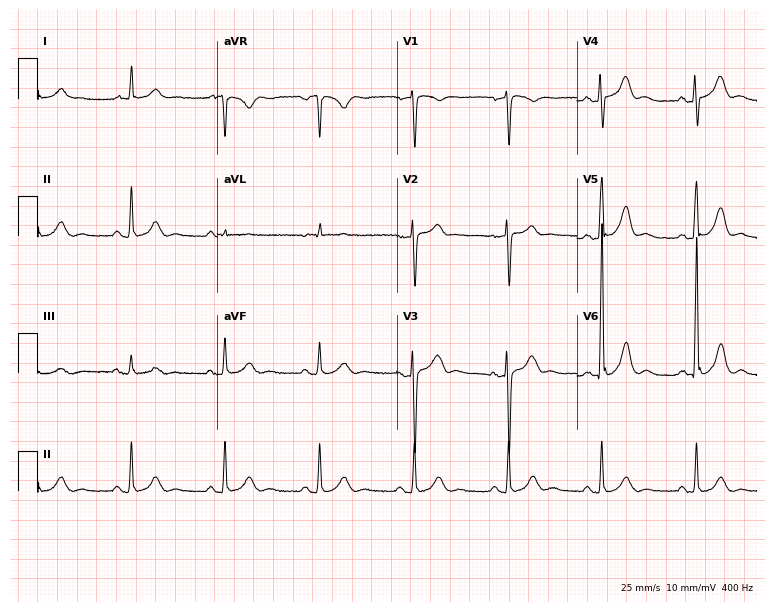
ECG — a male patient, 75 years old. Labelled as a normal ECG.